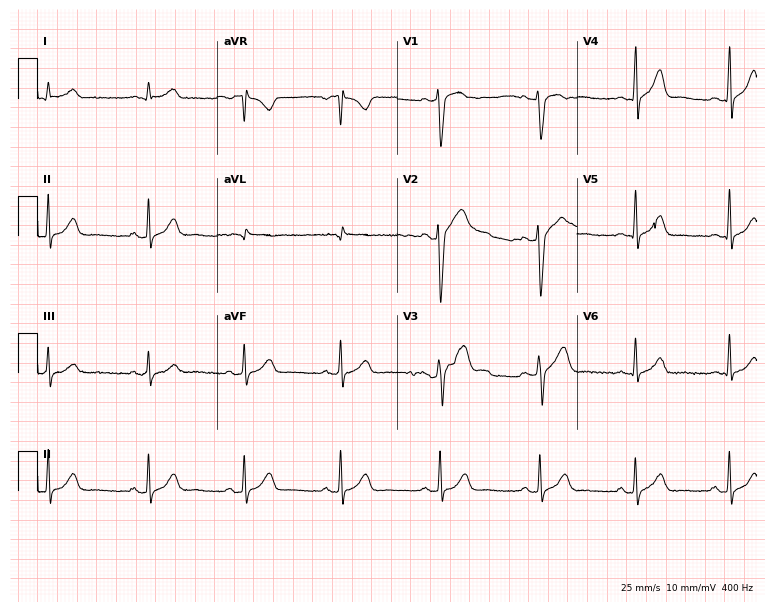
12-lead ECG from a 35-year-old male patient (7.3-second recording at 400 Hz). Recorded interpretation: within normal limits.